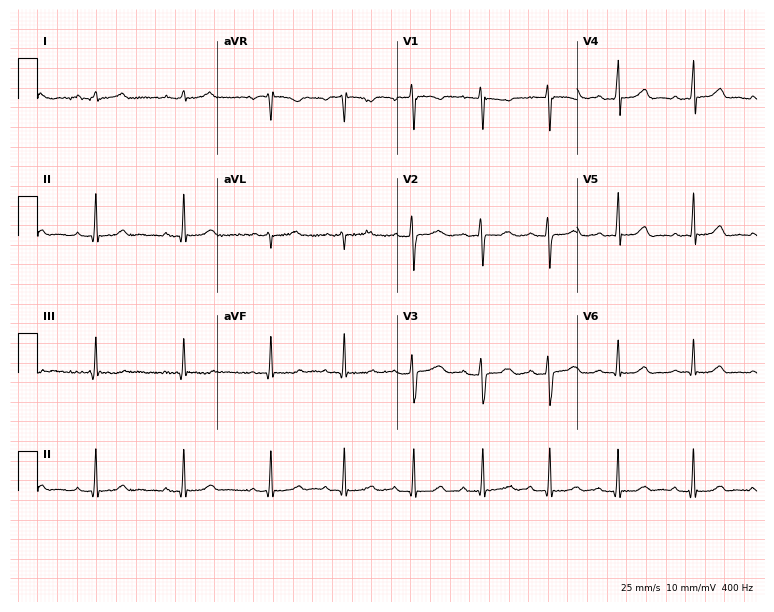
Standard 12-lead ECG recorded from a 17-year-old woman. None of these six findings is recorded: first-degree AV block, right bundle branch block (RBBB), left bundle branch block (LBBB), sinus bradycardia, atrial fibrillation (AF), sinus tachycardia. Only these six findings were labelled.